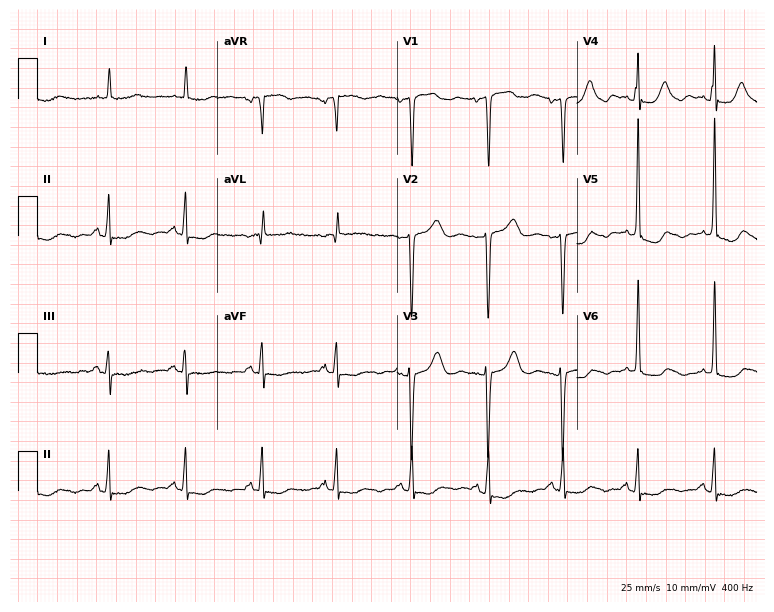
12-lead ECG from a 59-year-old female. Screened for six findings — first-degree AV block, right bundle branch block, left bundle branch block, sinus bradycardia, atrial fibrillation, sinus tachycardia — none is recorded. Findings outside these six are not listed.